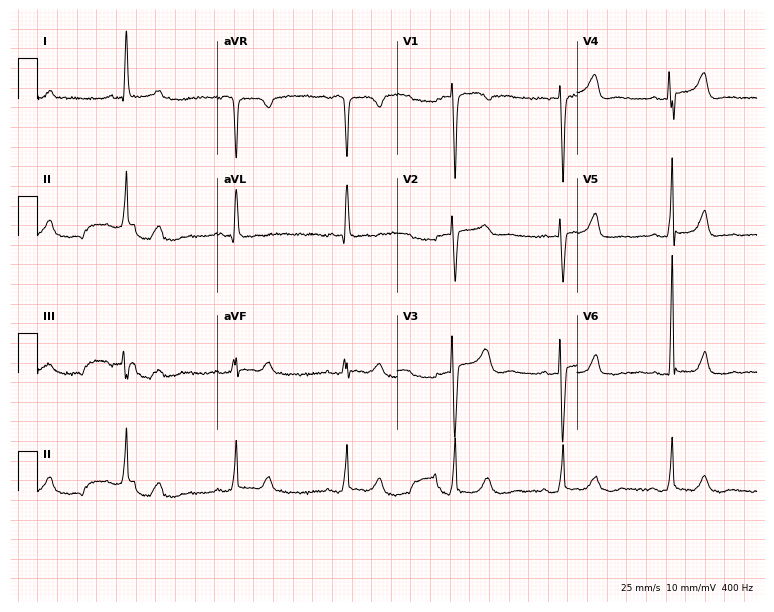
Resting 12-lead electrocardiogram (7.3-second recording at 400 Hz). Patient: a 73-year-old woman. None of these six findings is recorded: first-degree AV block, right bundle branch block (RBBB), left bundle branch block (LBBB), sinus bradycardia, atrial fibrillation (AF), sinus tachycardia. Other findings, if any, are not listed.